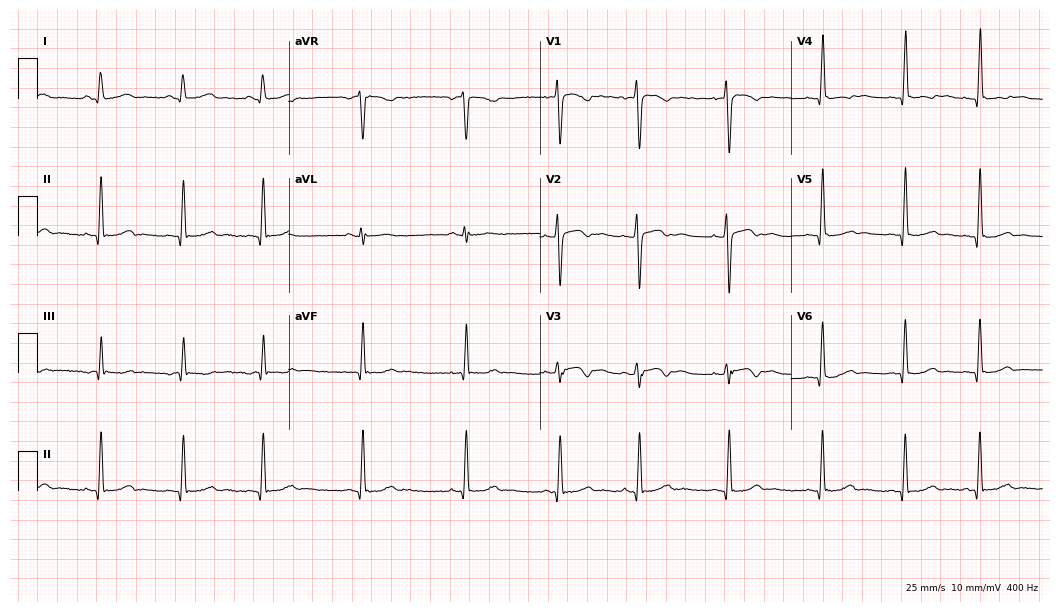
12-lead ECG from a female patient, 23 years old. Recorded interpretation: within normal limits.